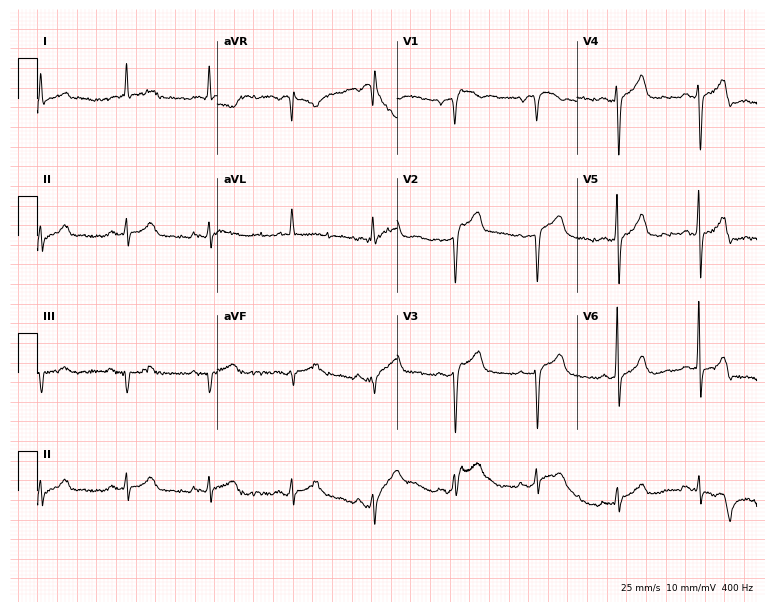
Electrocardiogram (7.3-second recording at 400 Hz), a woman, 85 years old. Of the six screened findings (first-degree AV block, right bundle branch block, left bundle branch block, sinus bradycardia, atrial fibrillation, sinus tachycardia), none is recorded.